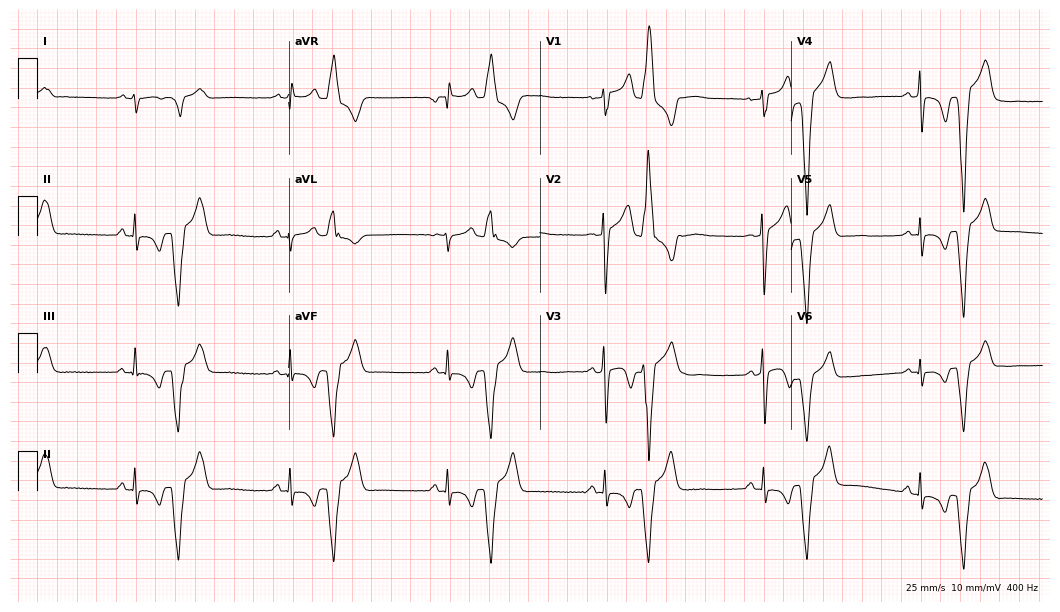
12-lead ECG from a 22-year-old male. Screened for six findings — first-degree AV block, right bundle branch block (RBBB), left bundle branch block (LBBB), sinus bradycardia, atrial fibrillation (AF), sinus tachycardia — none is recorded. Only these six findings were labelled.